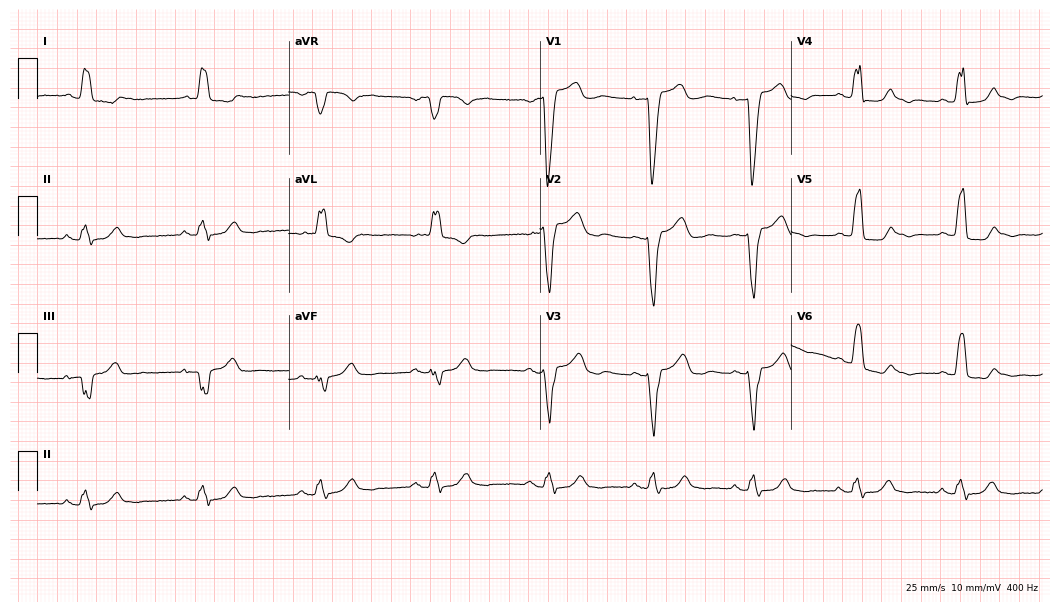
Standard 12-lead ECG recorded from a woman, 81 years old (10.2-second recording at 400 Hz). The tracing shows left bundle branch block.